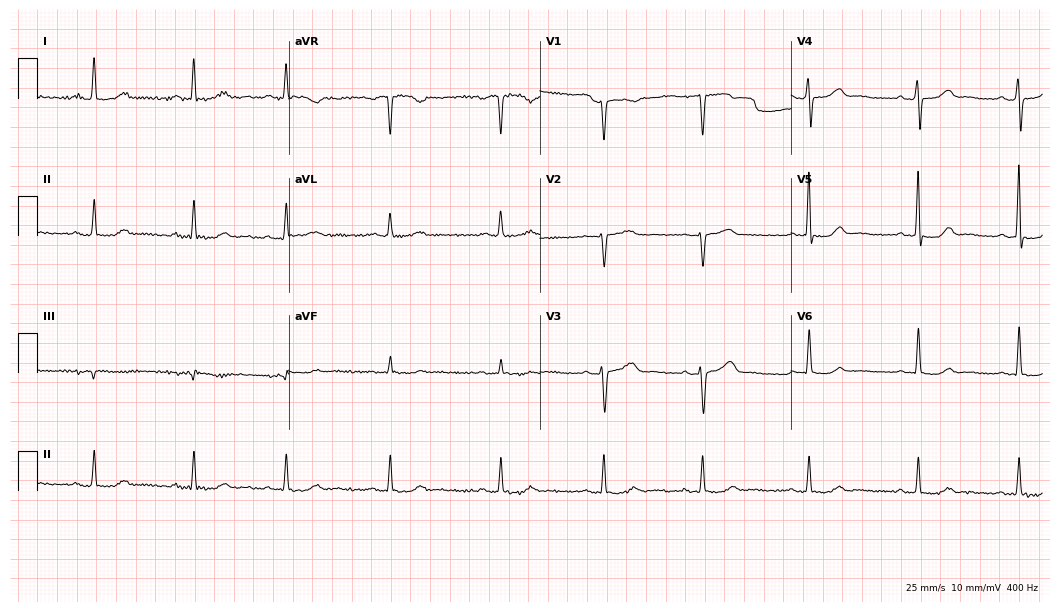
Electrocardiogram, a 63-year-old woman. Of the six screened findings (first-degree AV block, right bundle branch block, left bundle branch block, sinus bradycardia, atrial fibrillation, sinus tachycardia), none is recorded. Only these six findings were labelled.